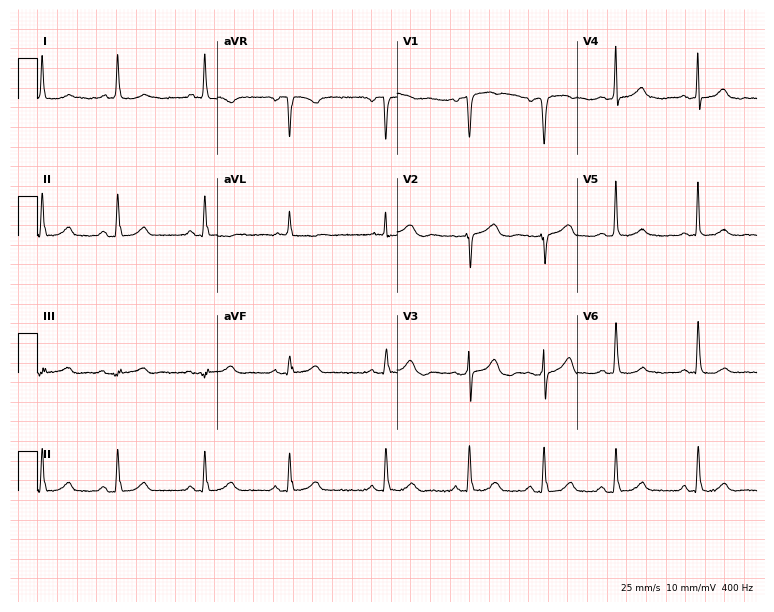
Electrocardiogram, a 73-year-old female. Of the six screened findings (first-degree AV block, right bundle branch block, left bundle branch block, sinus bradycardia, atrial fibrillation, sinus tachycardia), none is recorded. Only these six findings were labelled.